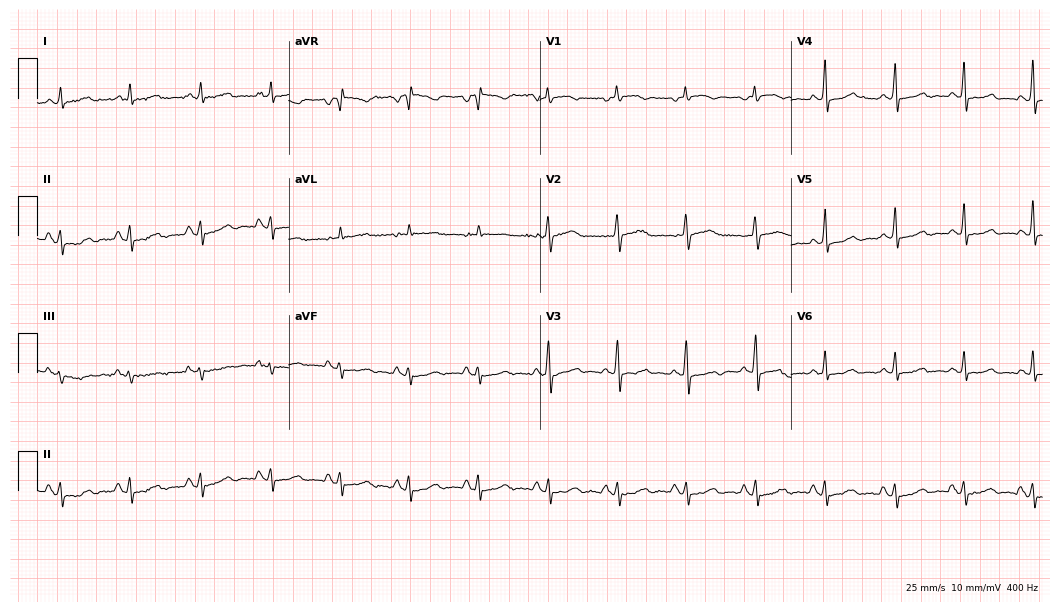
Resting 12-lead electrocardiogram (10.2-second recording at 400 Hz). Patient: a 72-year-old woman. Read as a normal ECG.